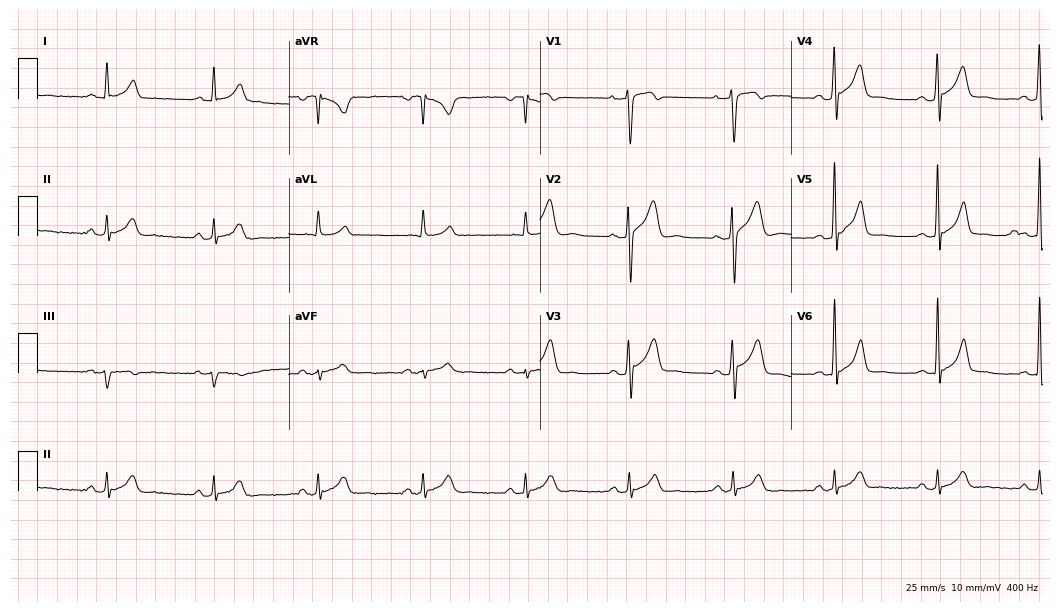
Resting 12-lead electrocardiogram. Patient: a male, 43 years old. Read as a normal ECG.